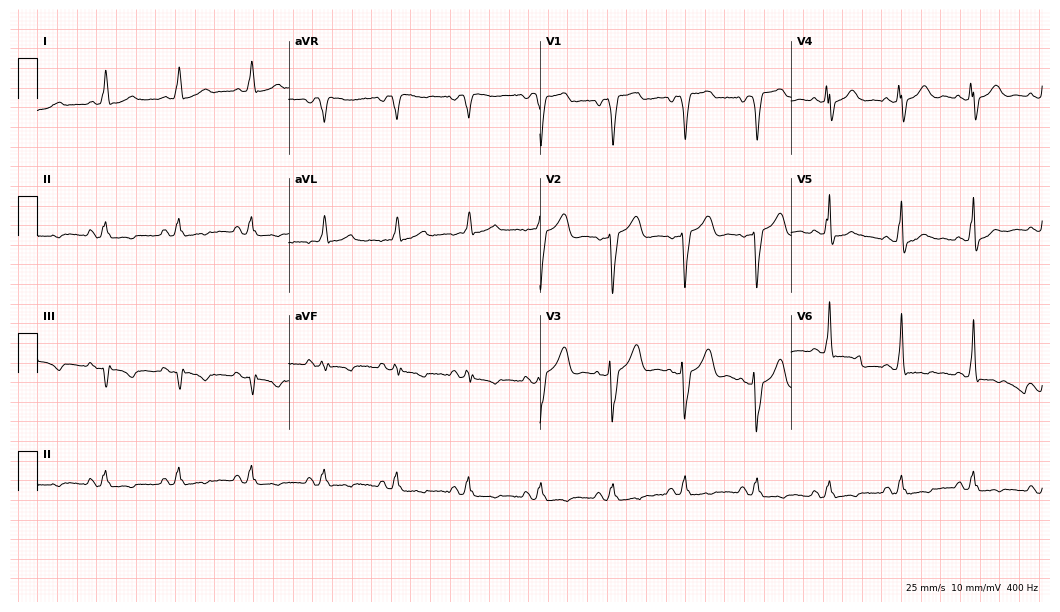
ECG (10.2-second recording at 400 Hz) — a 63-year-old female. Screened for six findings — first-degree AV block, right bundle branch block, left bundle branch block, sinus bradycardia, atrial fibrillation, sinus tachycardia — none is recorded.